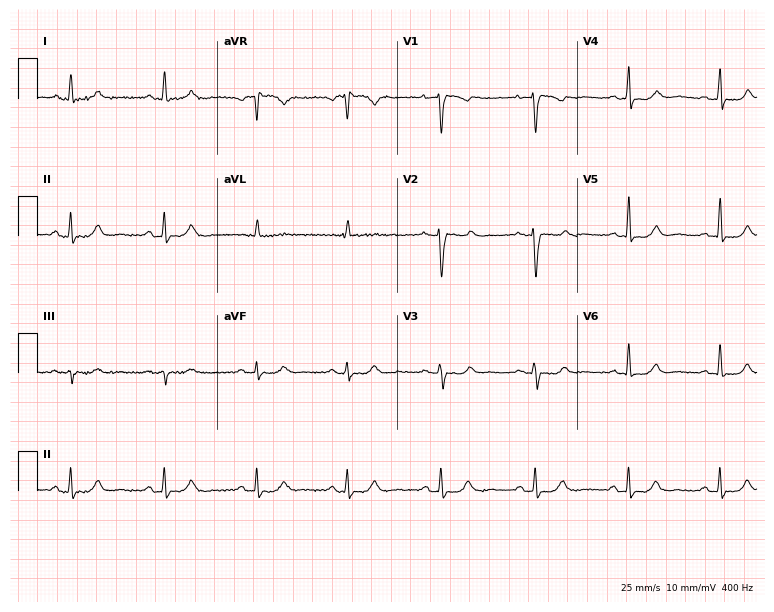
ECG (7.3-second recording at 400 Hz) — a 50-year-old woman. Labelled as a normal ECG.